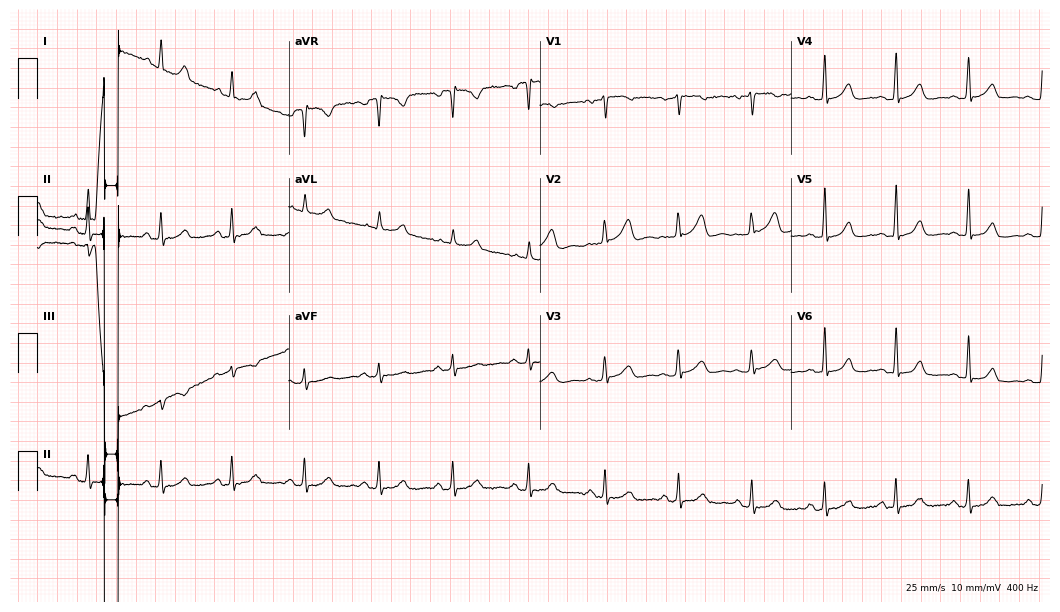
12-lead ECG from a 40-year-old female. Recorded interpretation: within normal limits.